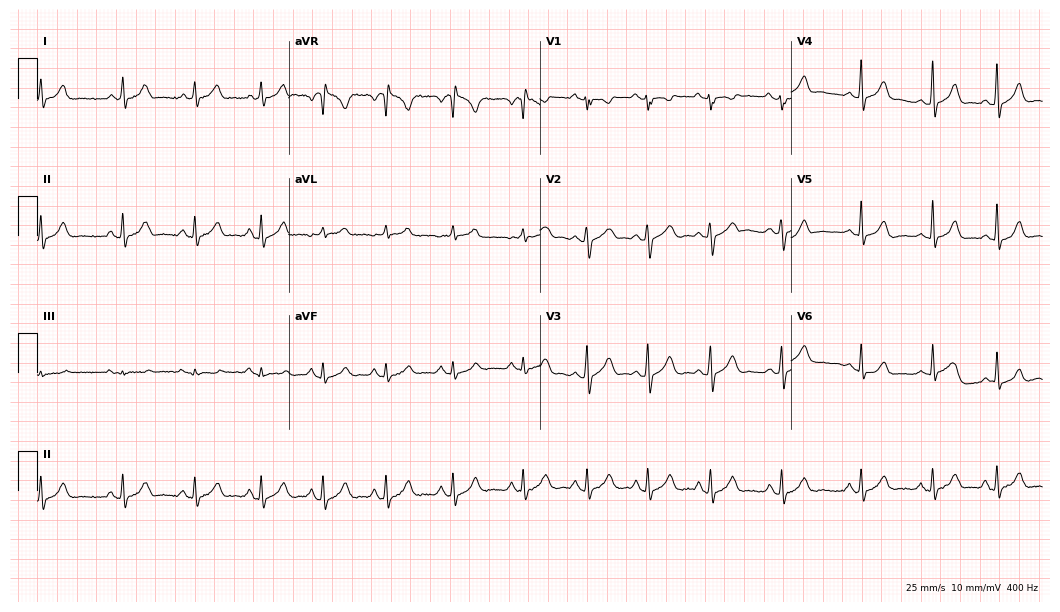
Standard 12-lead ECG recorded from a female, 34 years old. None of these six findings is recorded: first-degree AV block, right bundle branch block, left bundle branch block, sinus bradycardia, atrial fibrillation, sinus tachycardia. Findings outside these six are not listed.